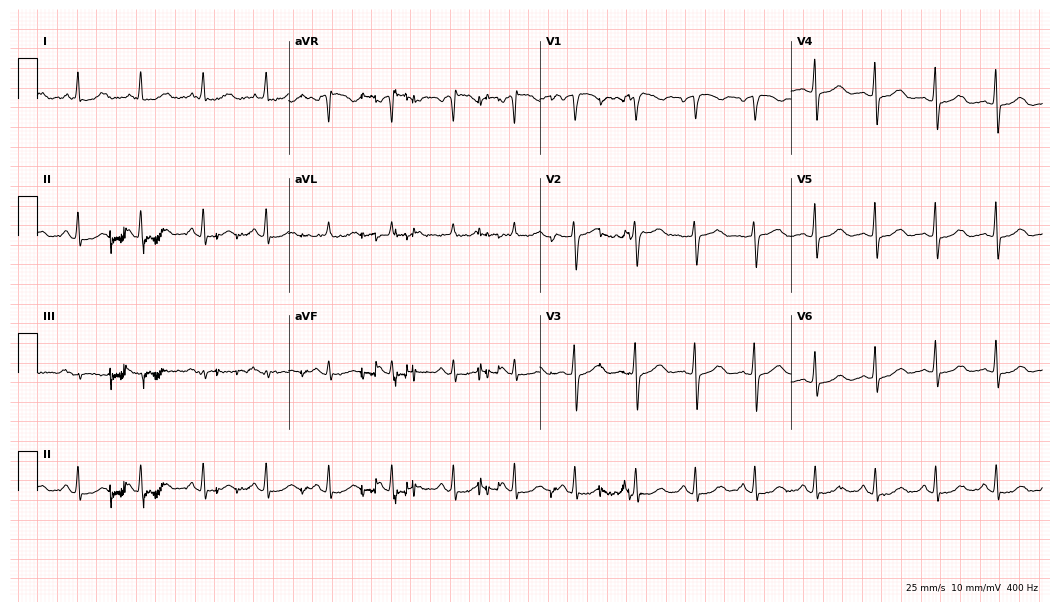
12-lead ECG from a 59-year-old female patient (10.2-second recording at 400 Hz). No first-degree AV block, right bundle branch block, left bundle branch block, sinus bradycardia, atrial fibrillation or sinus tachycardia recorded for this tracing. Only these six findings were labelled.